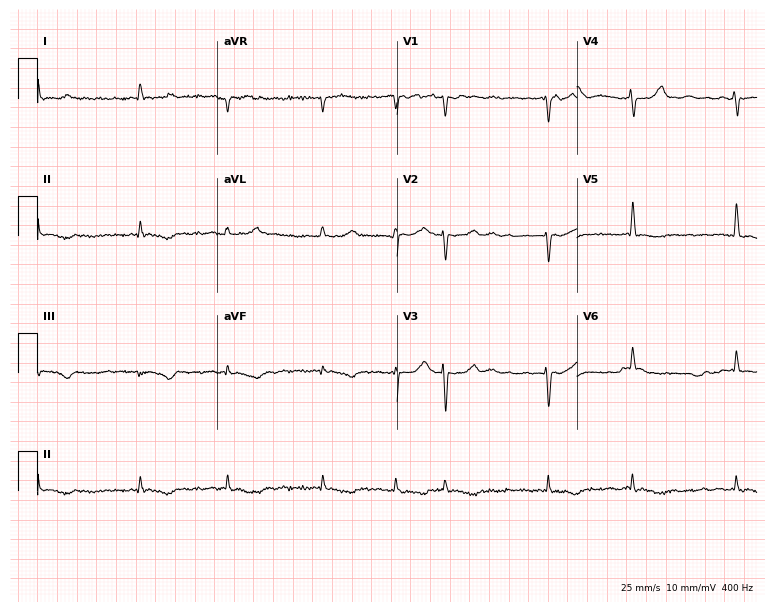
Standard 12-lead ECG recorded from a 63-year-old female (7.3-second recording at 400 Hz). The tracing shows atrial fibrillation (AF).